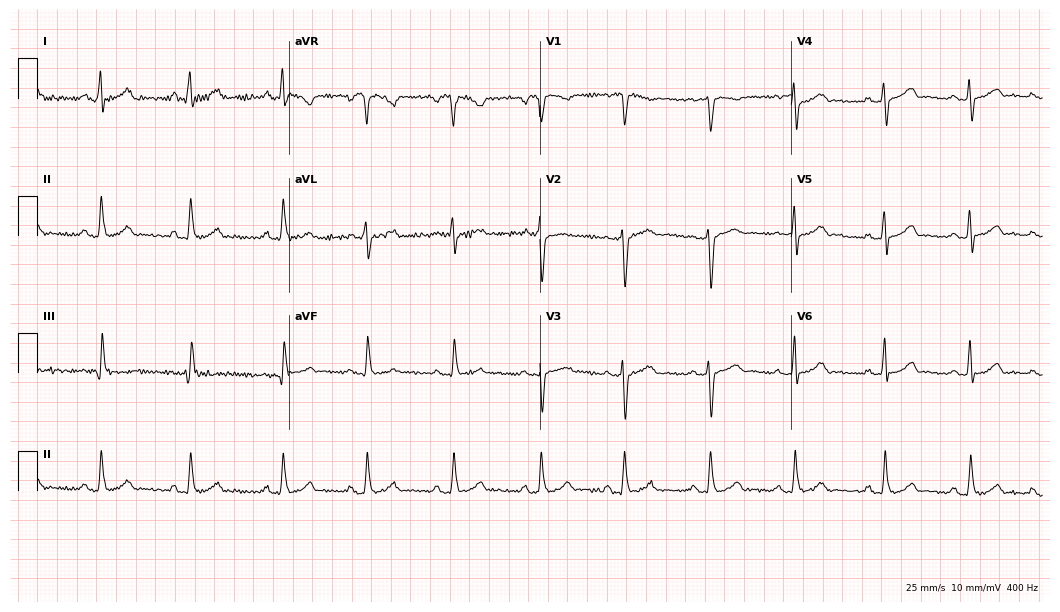
Standard 12-lead ECG recorded from a 32-year-old female. Read as a normal ECG.